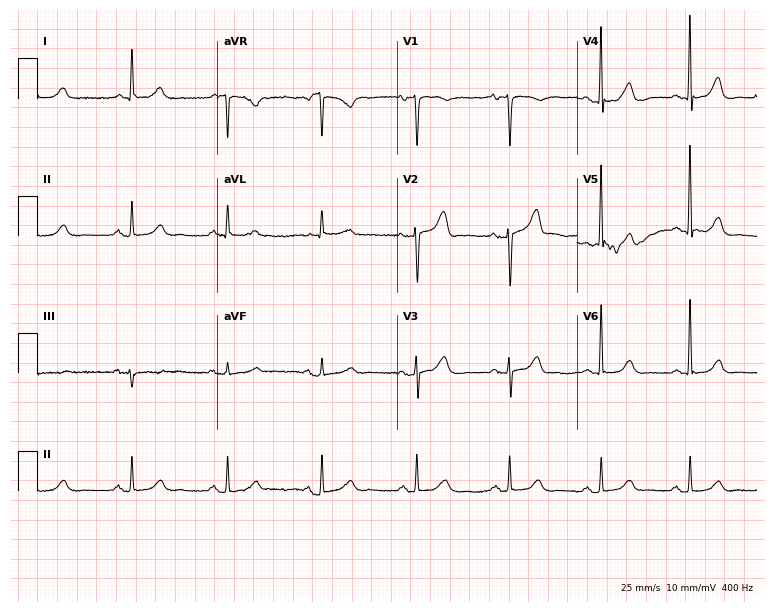
12-lead ECG from a female patient, 84 years old (7.3-second recording at 400 Hz). Recorded interpretation: within normal limits.